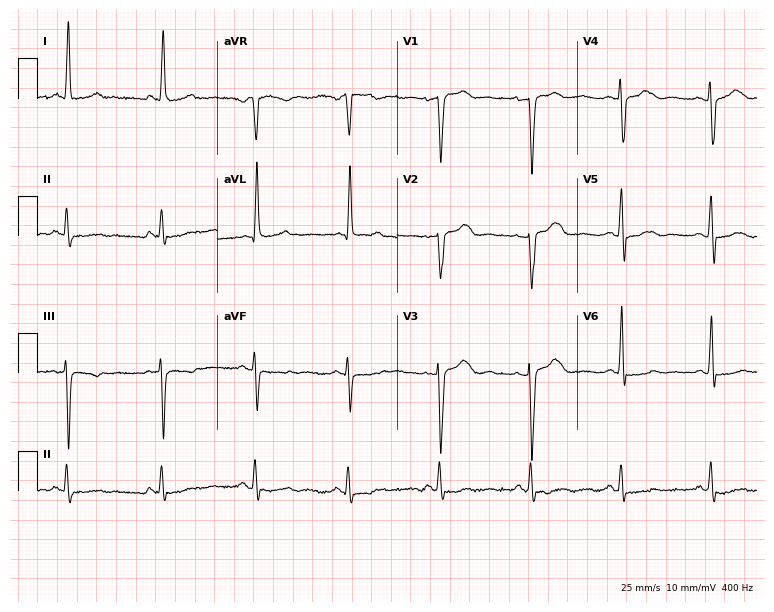
12-lead ECG (7.3-second recording at 400 Hz) from a woman, 73 years old. Screened for six findings — first-degree AV block, right bundle branch block (RBBB), left bundle branch block (LBBB), sinus bradycardia, atrial fibrillation (AF), sinus tachycardia — none is recorded. Other findings, if any, are not listed.